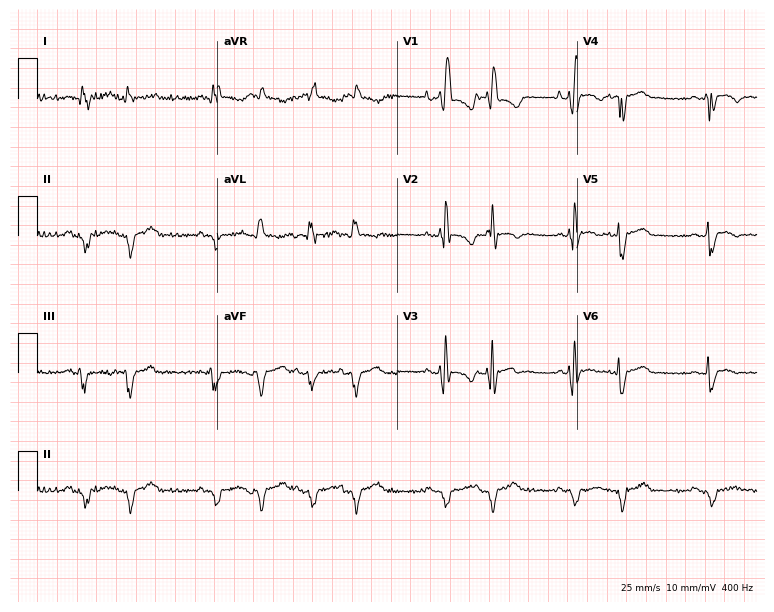
Resting 12-lead electrocardiogram. Patient: a female, 44 years old. The tracing shows right bundle branch block (RBBB).